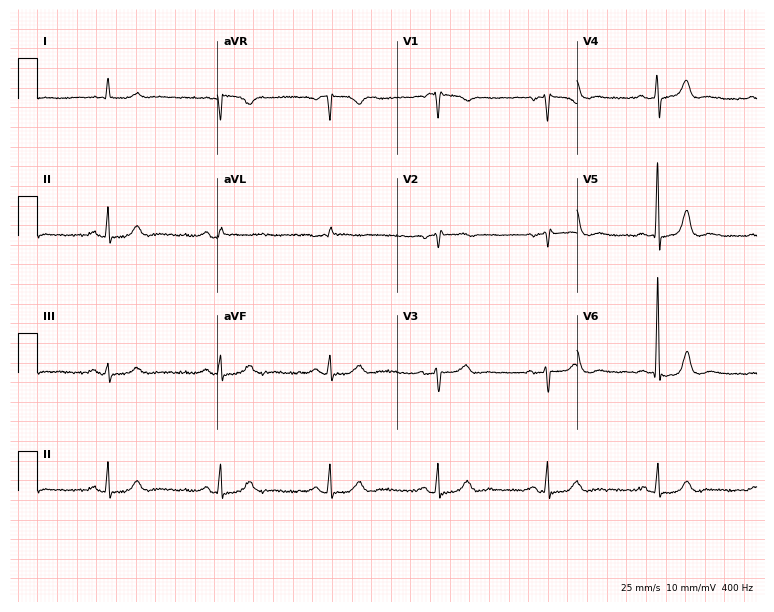
12-lead ECG from a male, 88 years old (7.3-second recording at 400 Hz). No first-degree AV block, right bundle branch block, left bundle branch block, sinus bradycardia, atrial fibrillation or sinus tachycardia recorded for this tracing.